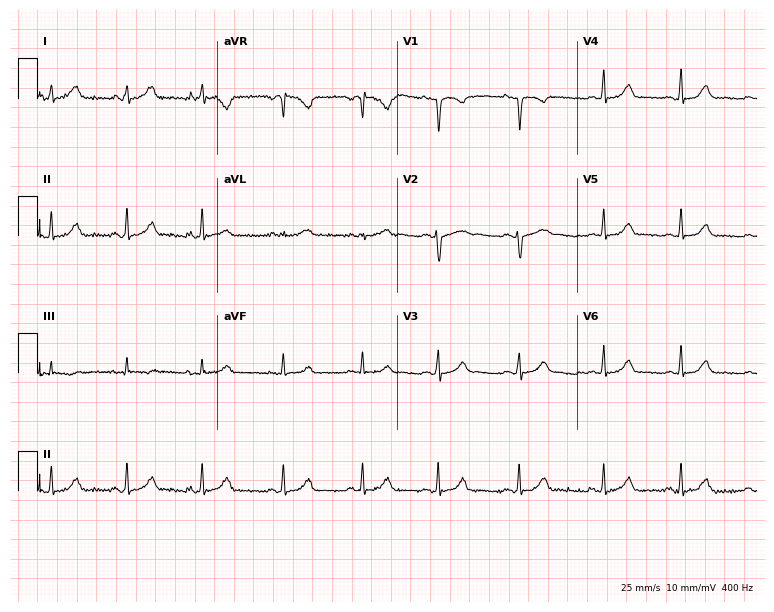
12-lead ECG from a woman, 22 years old. Labelled as a normal ECG.